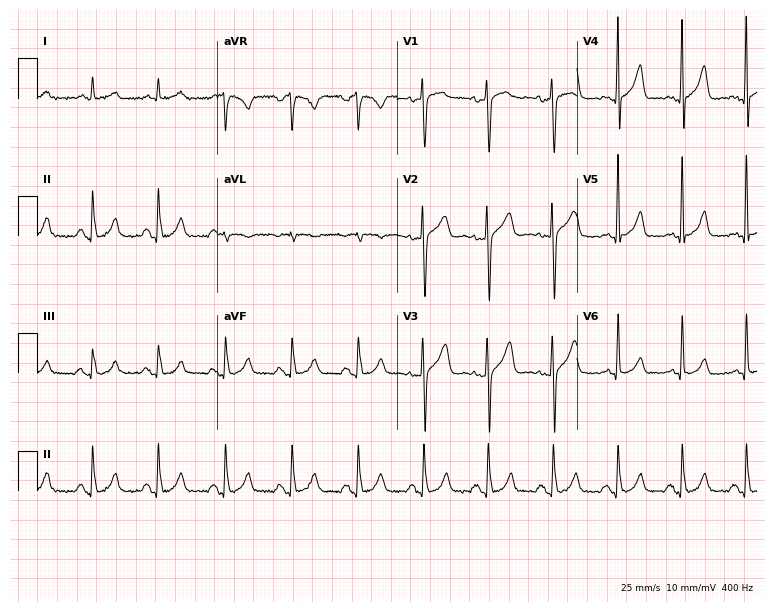
12-lead ECG from a 61-year-old male. Labelled as a normal ECG.